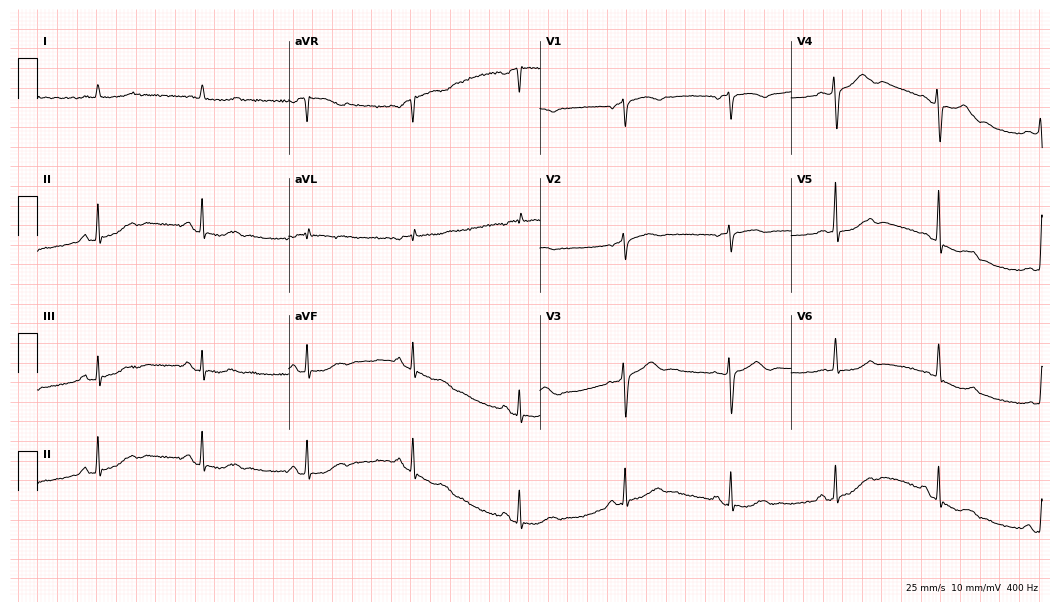
Resting 12-lead electrocardiogram (10.2-second recording at 400 Hz). Patient: a 66-year-old female. None of these six findings is recorded: first-degree AV block, right bundle branch block (RBBB), left bundle branch block (LBBB), sinus bradycardia, atrial fibrillation (AF), sinus tachycardia.